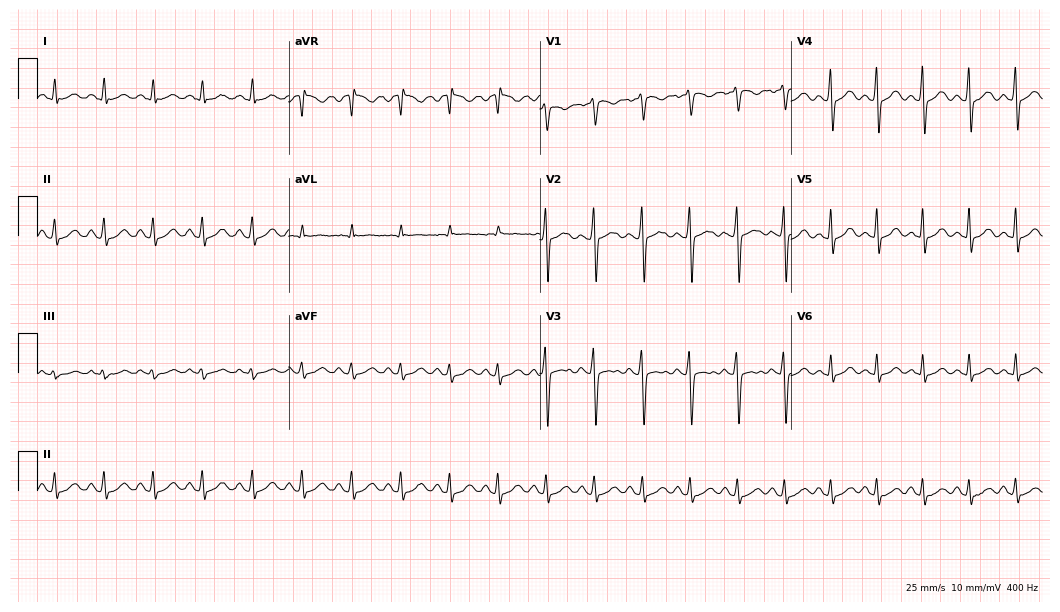
12-lead ECG (10.2-second recording at 400 Hz) from a female patient, 22 years old. Findings include sinus tachycardia (a sinus rate of 100 beats per minute or more).